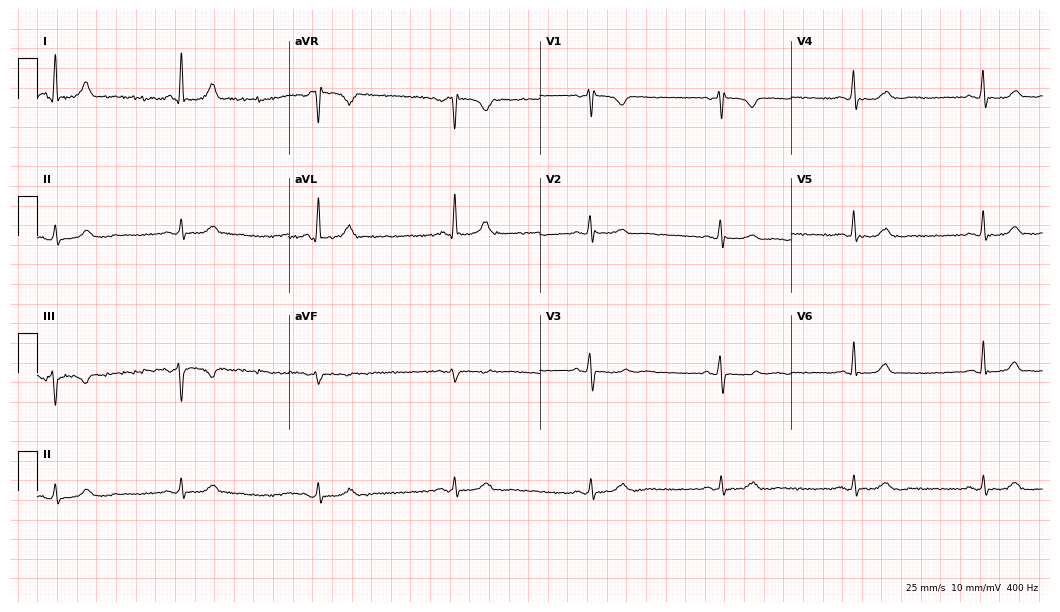
Electrocardiogram, a 60-year-old female patient. Of the six screened findings (first-degree AV block, right bundle branch block, left bundle branch block, sinus bradycardia, atrial fibrillation, sinus tachycardia), none is recorded.